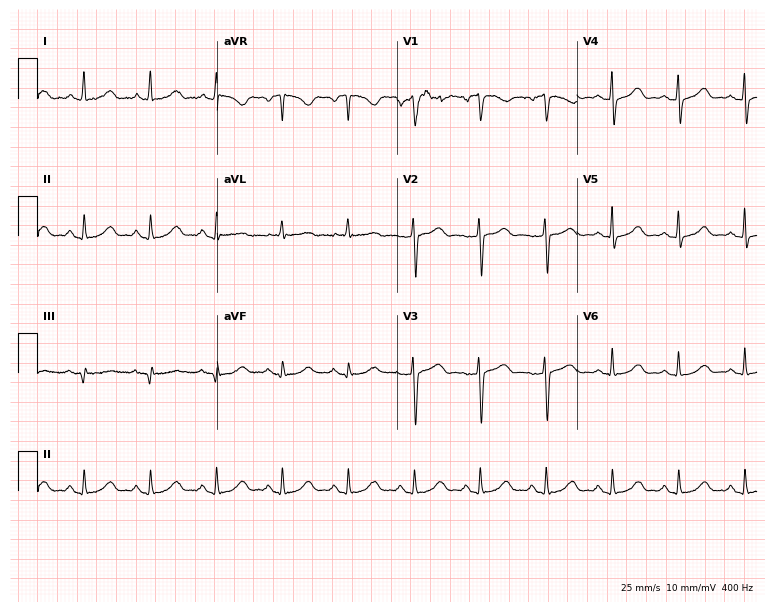
Electrocardiogram, a 77-year-old female patient. Overall reading on record: normal ECG.